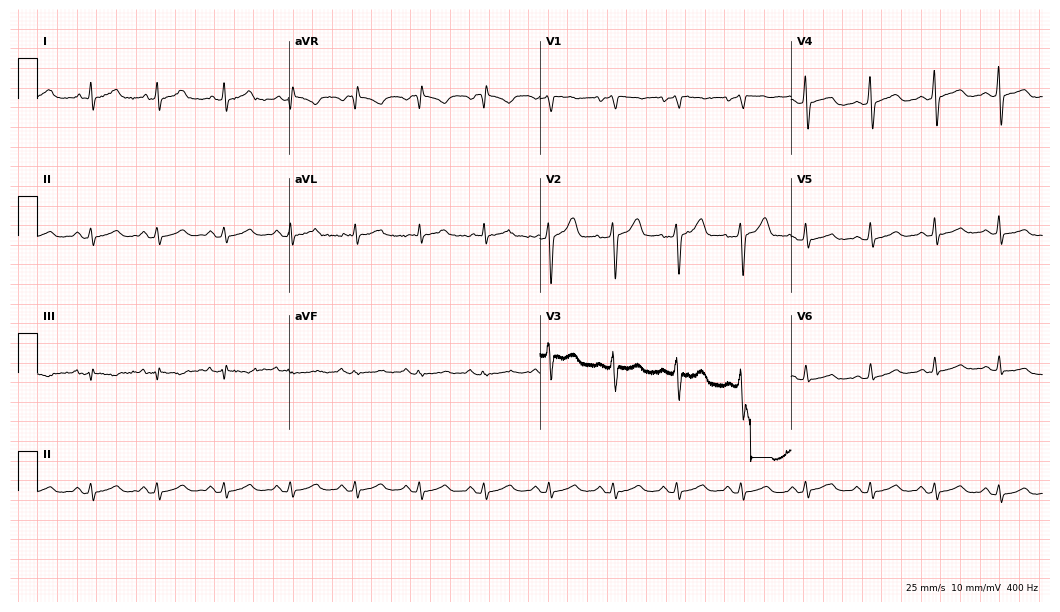
ECG — a male, 42 years old. Labelled as a normal ECG.